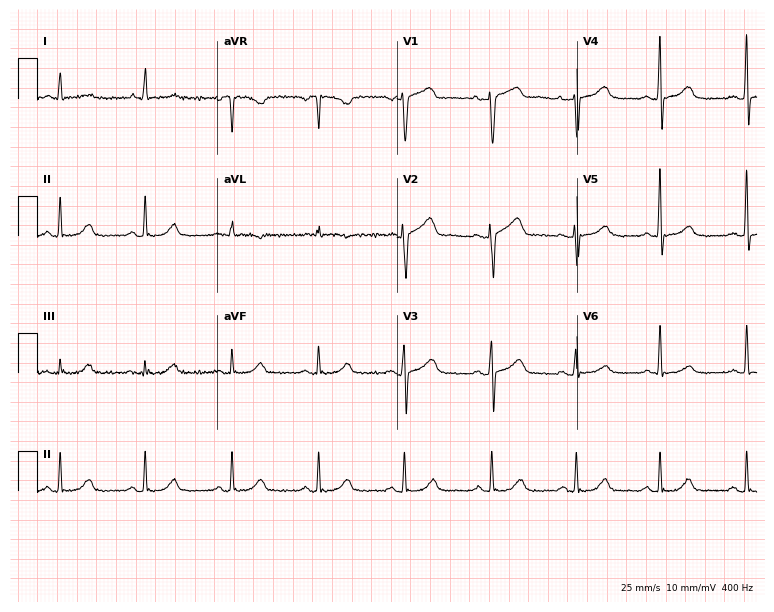
Electrocardiogram (7.3-second recording at 400 Hz), a female, 60 years old. Overall reading on record: normal ECG.